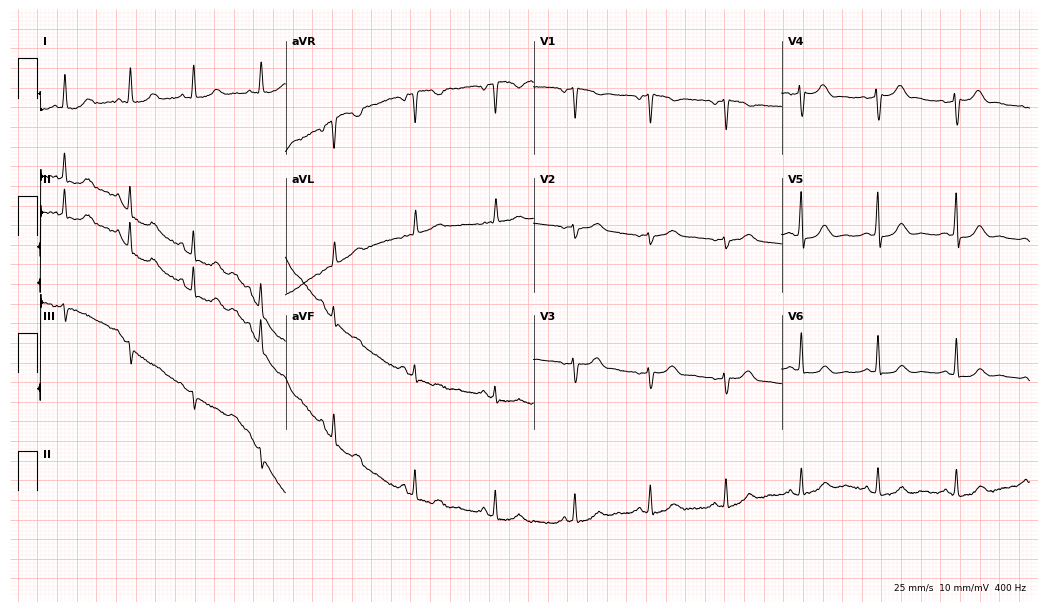
Standard 12-lead ECG recorded from a female patient, 68 years old. None of these six findings is recorded: first-degree AV block, right bundle branch block (RBBB), left bundle branch block (LBBB), sinus bradycardia, atrial fibrillation (AF), sinus tachycardia. Only these six findings were labelled.